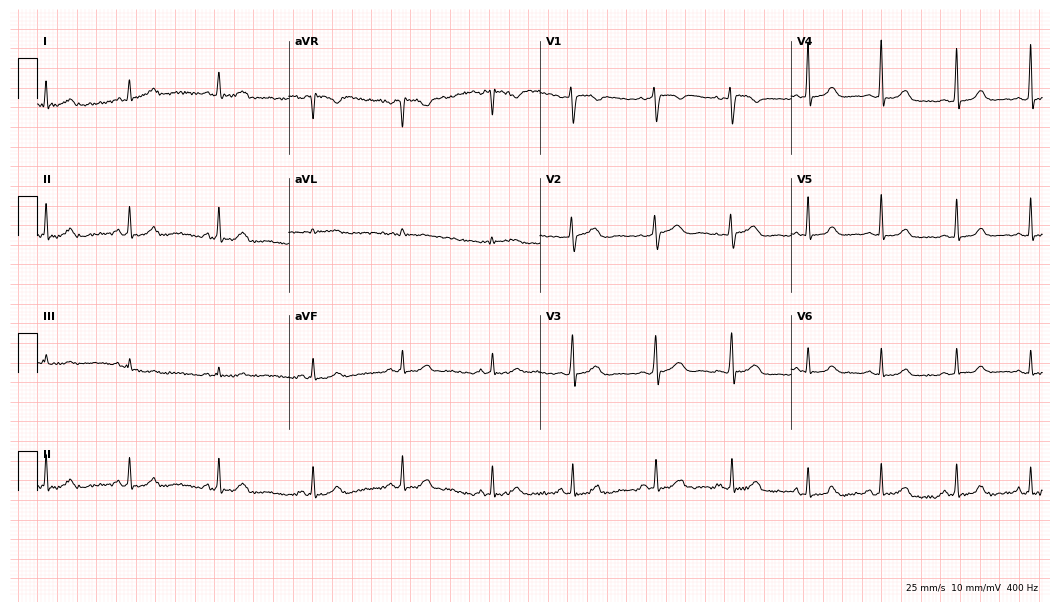
Electrocardiogram (10.2-second recording at 400 Hz), a female, 35 years old. Overall reading on record: normal ECG.